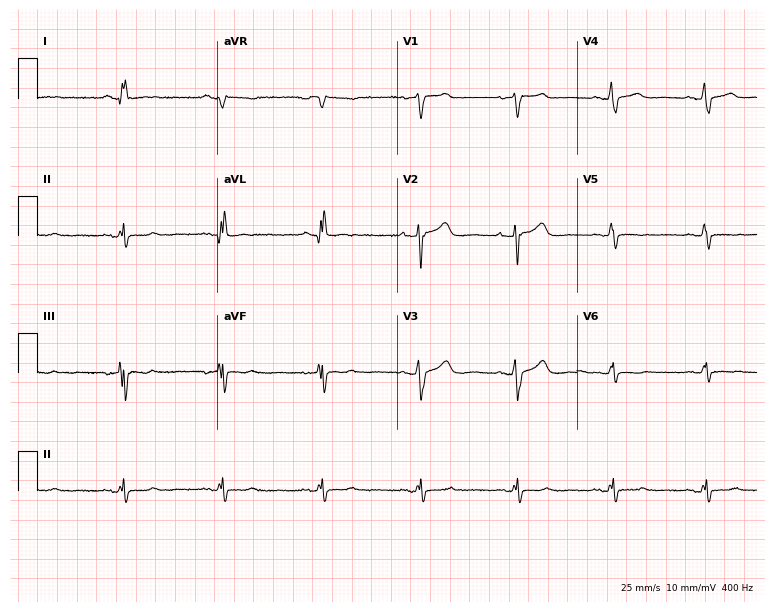
12-lead ECG from a 57-year-old woman (7.3-second recording at 400 Hz). No first-degree AV block, right bundle branch block (RBBB), left bundle branch block (LBBB), sinus bradycardia, atrial fibrillation (AF) or sinus tachycardia recorded for this tracing.